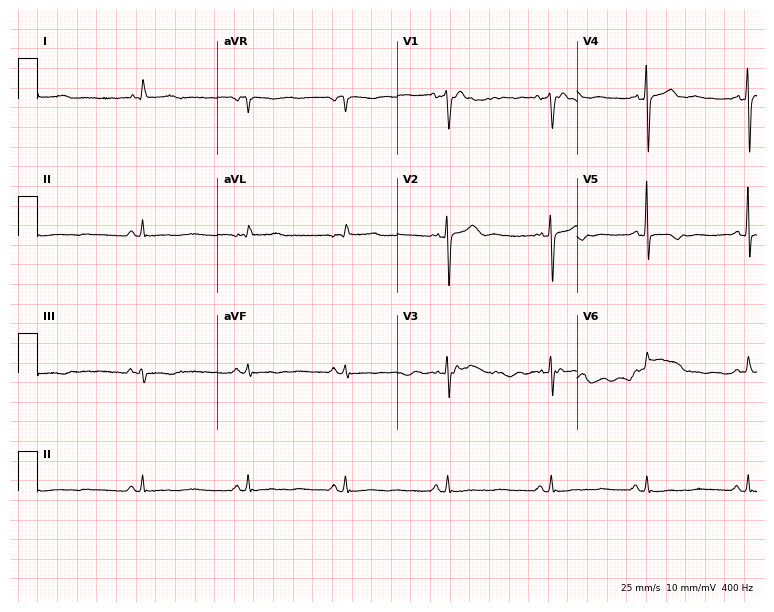
ECG (7.3-second recording at 400 Hz) — a 37-year-old female. Screened for six findings — first-degree AV block, right bundle branch block (RBBB), left bundle branch block (LBBB), sinus bradycardia, atrial fibrillation (AF), sinus tachycardia — none is recorded. Findings outside these six are not listed.